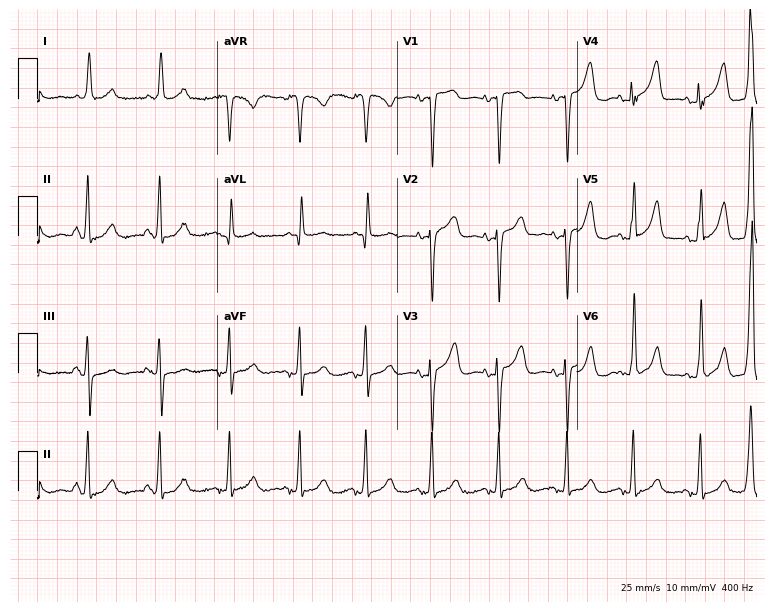
Standard 12-lead ECG recorded from an 80-year-old woman. None of these six findings is recorded: first-degree AV block, right bundle branch block (RBBB), left bundle branch block (LBBB), sinus bradycardia, atrial fibrillation (AF), sinus tachycardia. Only these six findings were labelled.